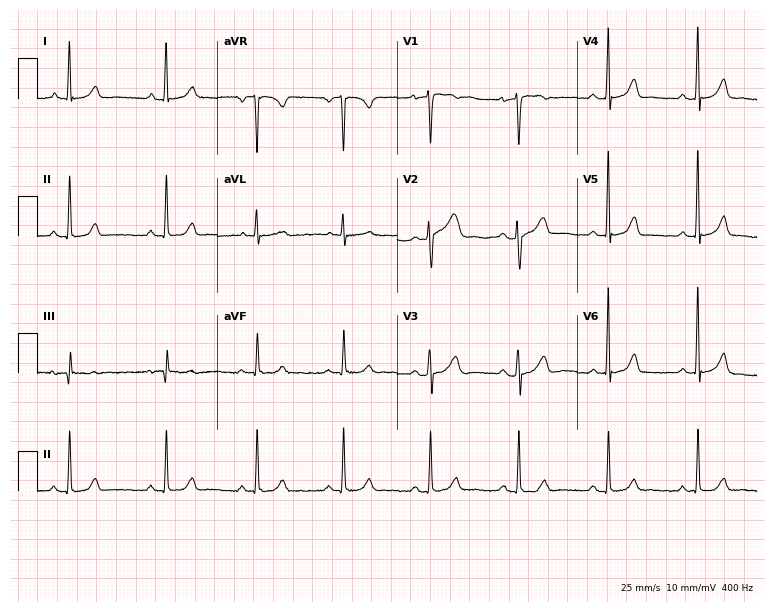
12-lead ECG (7.3-second recording at 400 Hz) from a woman, 46 years old. Labelled as a normal ECG.